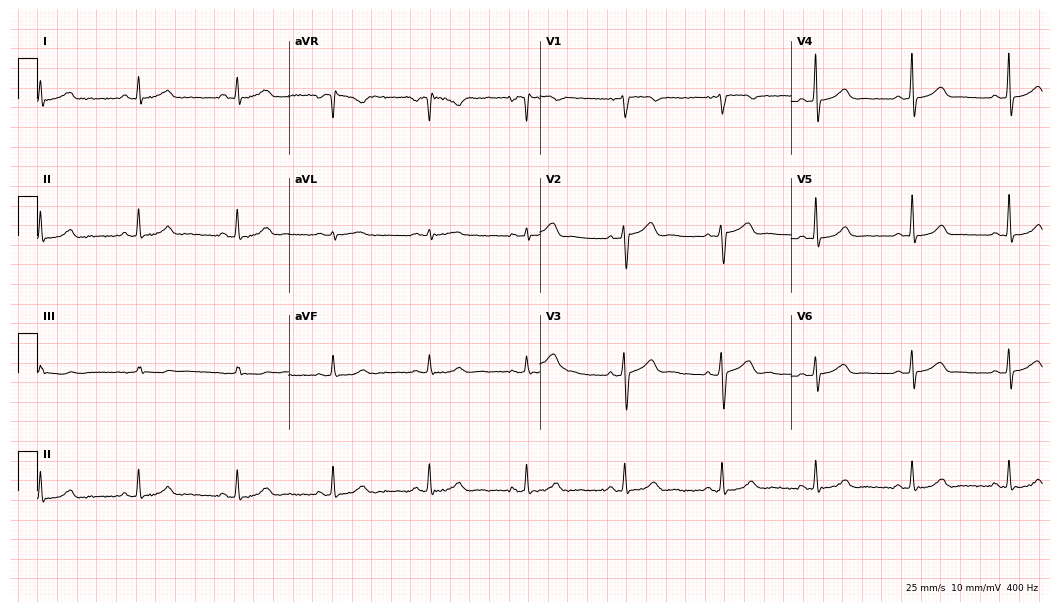
Electrocardiogram (10.2-second recording at 400 Hz), a female patient, 51 years old. Overall reading on record: normal ECG.